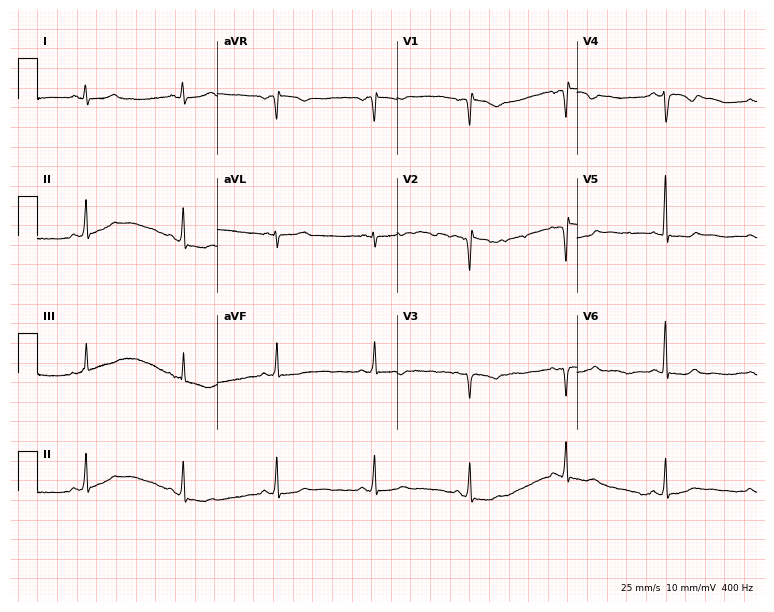
Standard 12-lead ECG recorded from a 33-year-old female patient (7.3-second recording at 400 Hz). None of these six findings is recorded: first-degree AV block, right bundle branch block, left bundle branch block, sinus bradycardia, atrial fibrillation, sinus tachycardia.